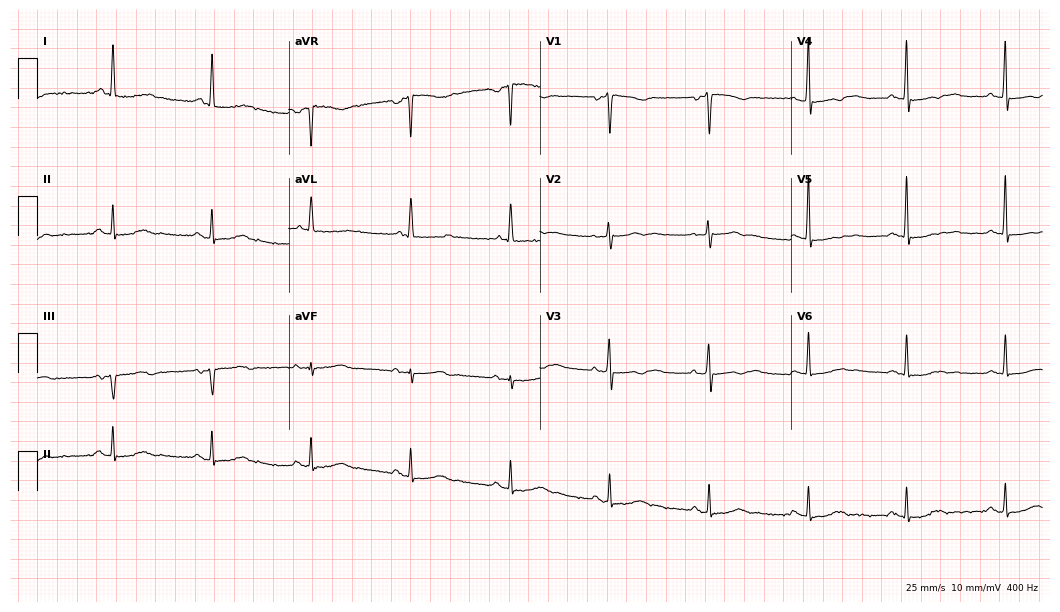
Resting 12-lead electrocardiogram. Patient: a 78-year-old woman. None of these six findings is recorded: first-degree AV block, right bundle branch block, left bundle branch block, sinus bradycardia, atrial fibrillation, sinus tachycardia. Findings outside these six are not listed.